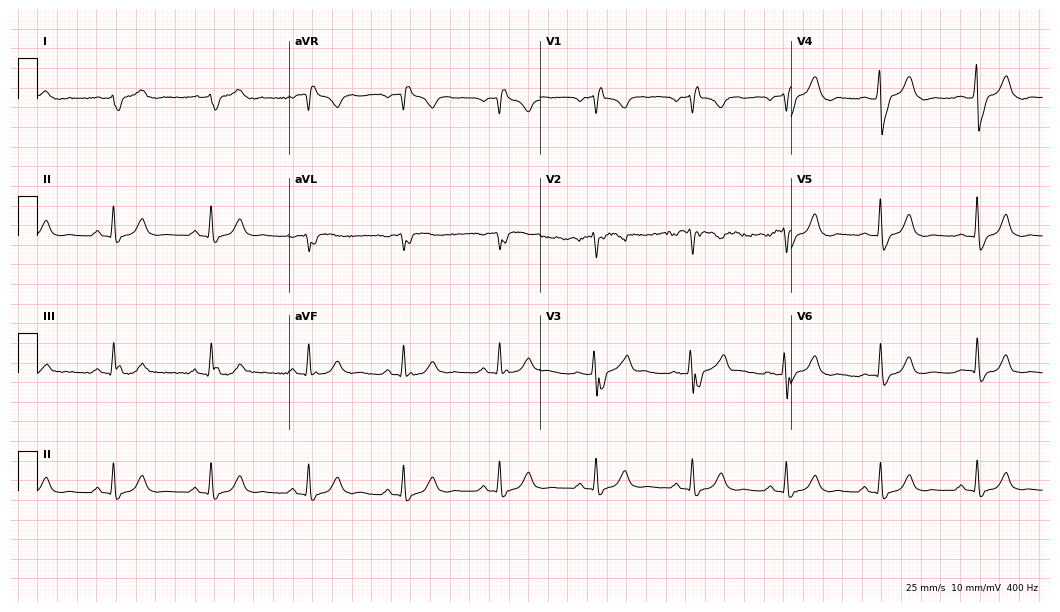
ECG (10.2-second recording at 400 Hz) — a male patient, 66 years old. Screened for six findings — first-degree AV block, right bundle branch block, left bundle branch block, sinus bradycardia, atrial fibrillation, sinus tachycardia — none is recorded. Only these six findings were labelled.